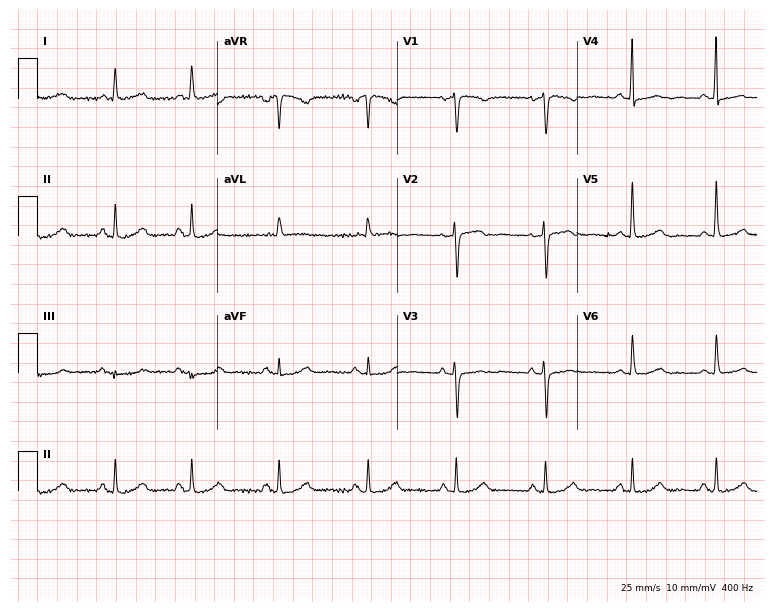
ECG (7.3-second recording at 400 Hz) — a female, 68 years old. Labelled as a normal ECG.